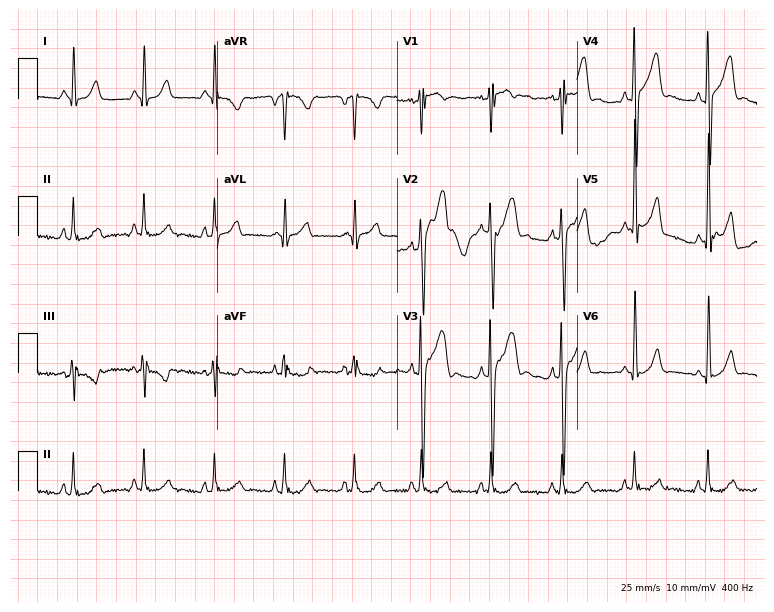
ECG — a man, 33 years old. Screened for six findings — first-degree AV block, right bundle branch block, left bundle branch block, sinus bradycardia, atrial fibrillation, sinus tachycardia — none is recorded. Only these six findings were labelled.